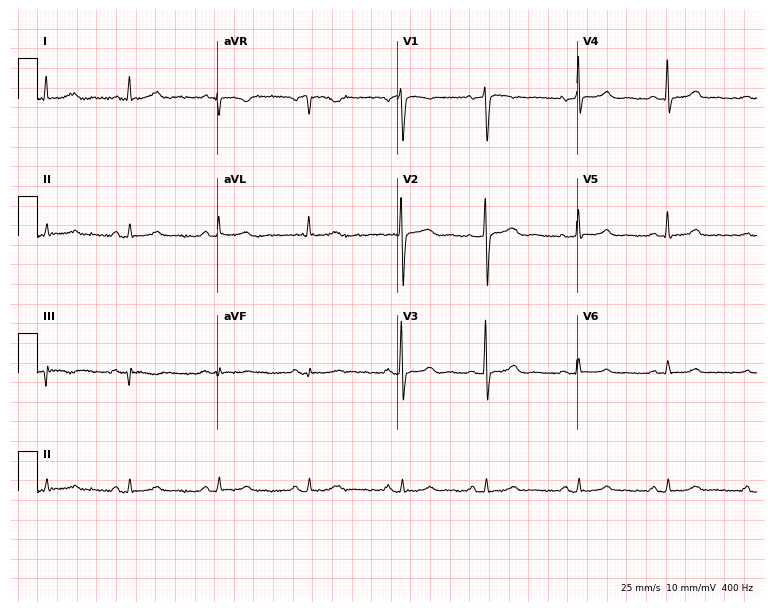
ECG — a 41-year-old woman. Labelled as a normal ECG.